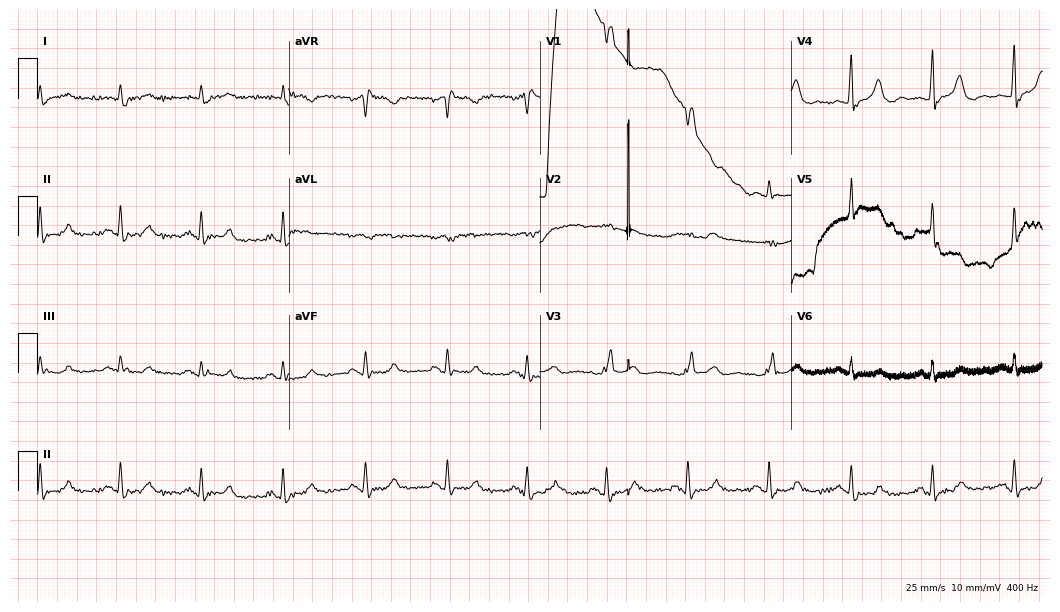
Electrocardiogram (10.2-second recording at 400 Hz), a male patient, 83 years old. Of the six screened findings (first-degree AV block, right bundle branch block (RBBB), left bundle branch block (LBBB), sinus bradycardia, atrial fibrillation (AF), sinus tachycardia), none is recorded. Other findings, if any, are not listed.